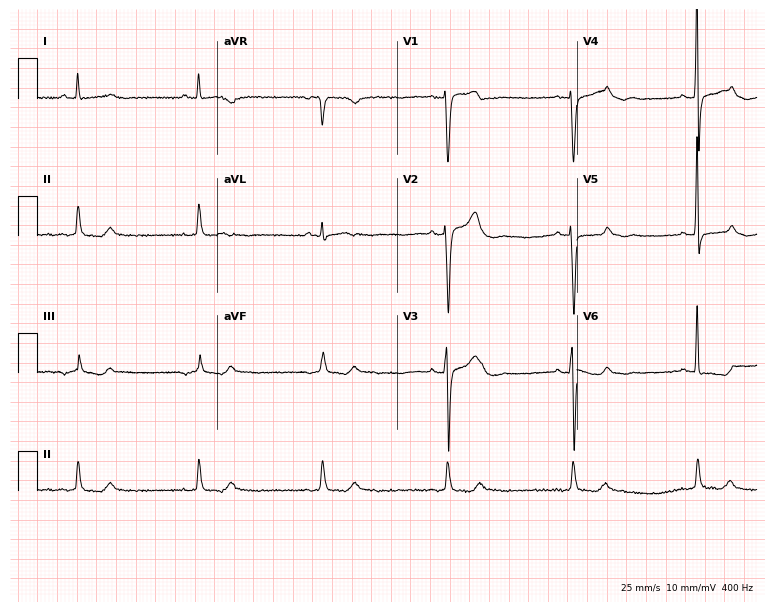
Standard 12-lead ECG recorded from a male patient, 68 years old (7.3-second recording at 400 Hz). The tracing shows sinus bradycardia (a sinus rate of 50 beats per minute or less).